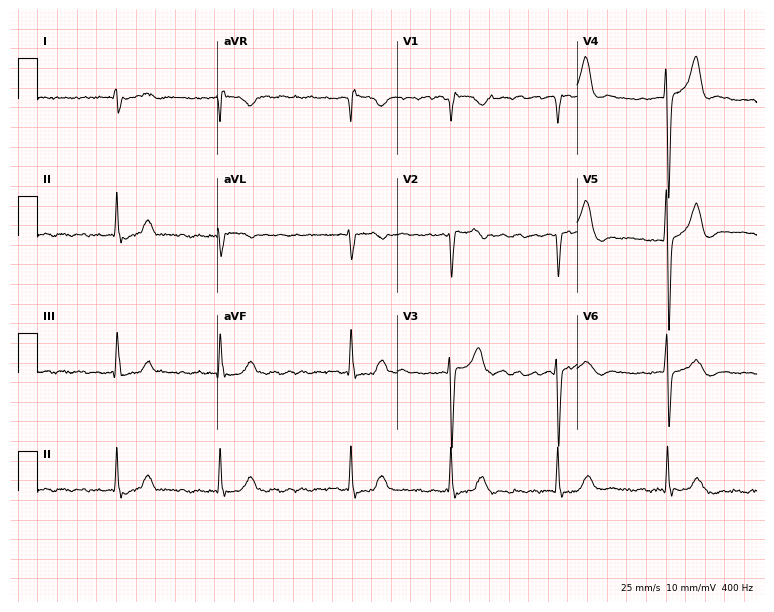
Electrocardiogram, an 81-year-old man. Interpretation includes atrial fibrillation.